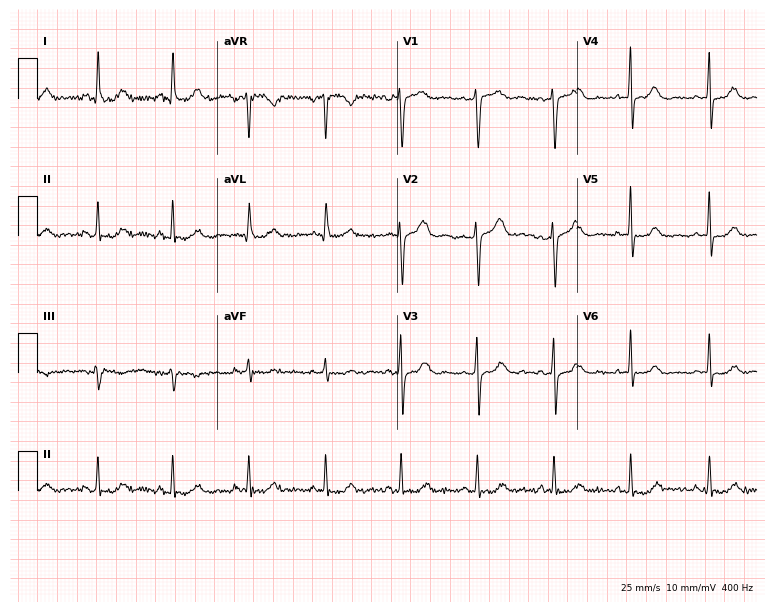
12-lead ECG from a 61-year-old female patient. Recorded interpretation: within normal limits.